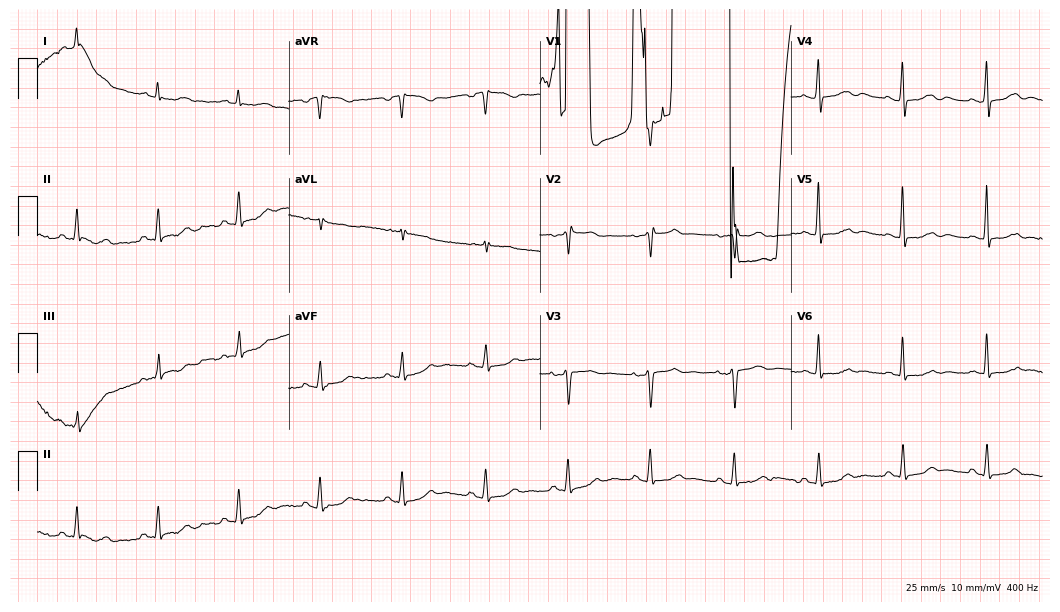
12-lead ECG from a female, 53 years old (10.2-second recording at 400 Hz). No first-degree AV block, right bundle branch block, left bundle branch block, sinus bradycardia, atrial fibrillation or sinus tachycardia recorded for this tracing.